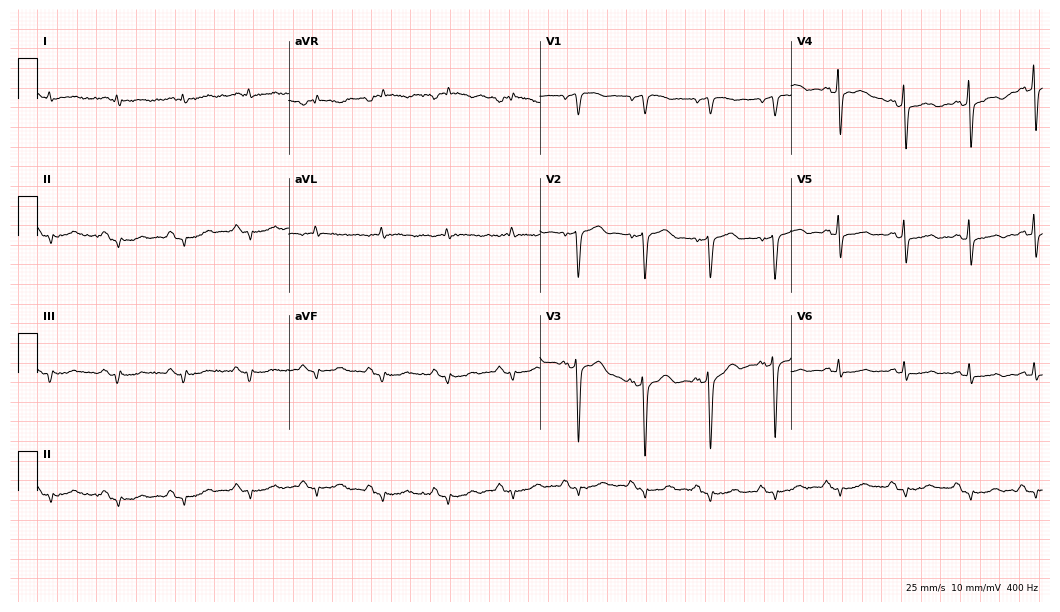
12-lead ECG from a 74-year-old man. Screened for six findings — first-degree AV block, right bundle branch block, left bundle branch block, sinus bradycardia, atrial fibrillation, sinus tachycardia — none is recorded.